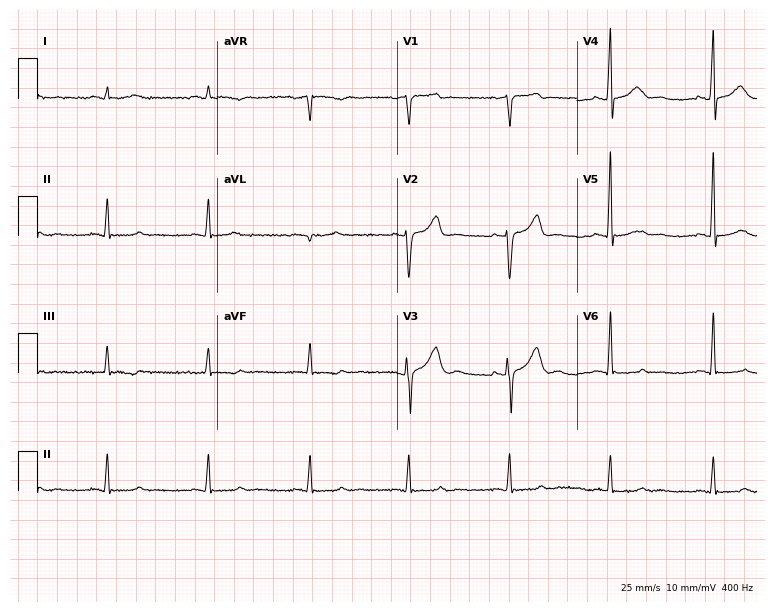
Electrocardiogram, a man, 46 years old. Of the six screened findings (first-degree AV block, right bundle branch block, left bundle branch block, sinus bradycardia, atrial fibrillation, sinus tachycardia), none is recorded. Other findings, if any, are not listed.